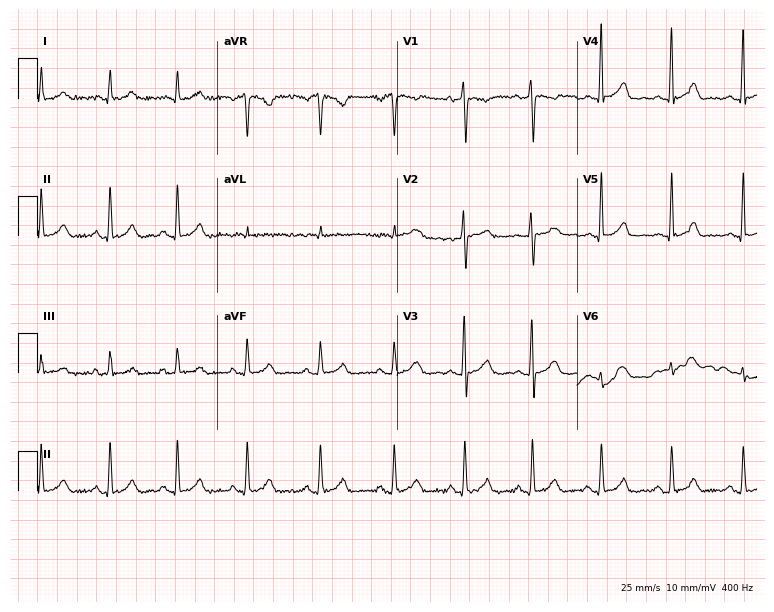
12-lead ECG (7.3-second recording at 400 Hz) from a 37-year-old woman. Screened for six findings — first-degree AV block, right bundle branch block (RBBB), left bundle branch block (LBBB), sinus bradycardia, atrial fibrillation (AF), sinus tachycardia — none is recorded.